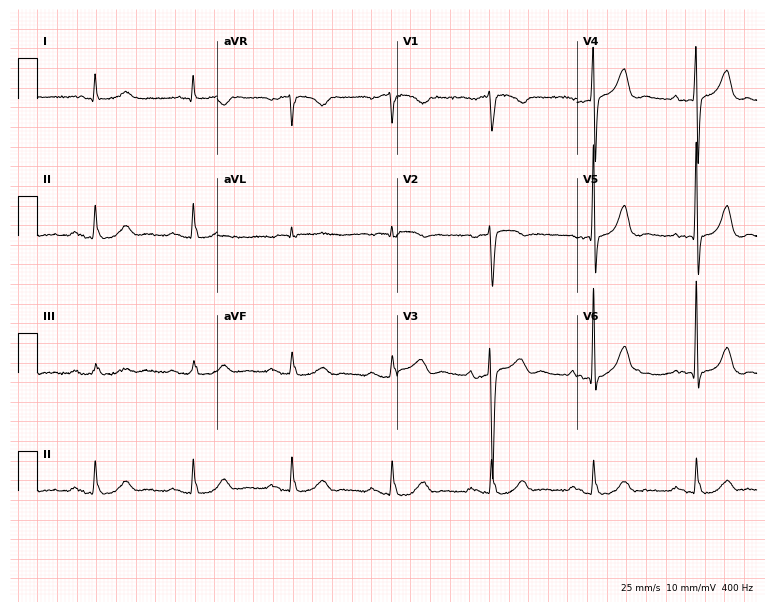
Resting 12-lead electrocardiogram. Patient: a 75-year-old male. Read as a normal ECG.